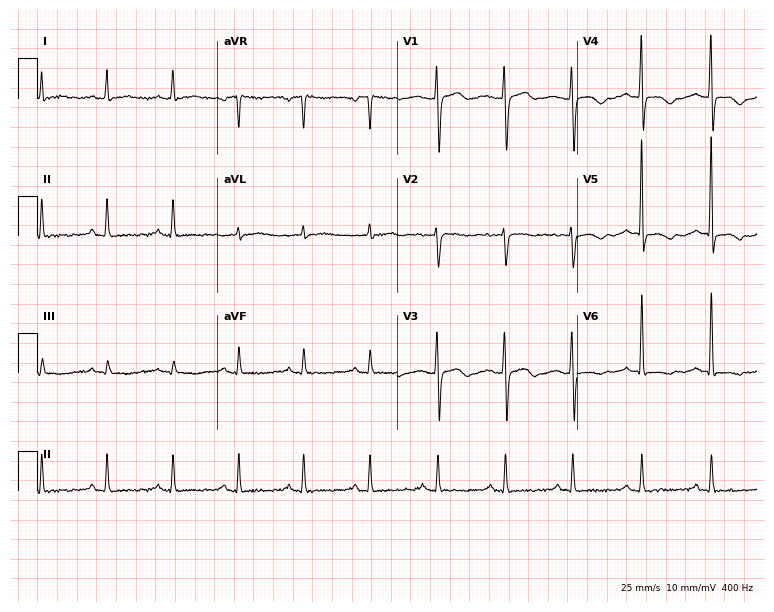
12-lead ECG from a woman, 55 years old. Screened for six findings — first-degree AV block, right bundle branch block (RBBB), left bundle branch block (LBBB), sinus bradycardia, atrial fibrillation (AF), sinus tachycardia — none is recorded. Only these six findings were labelled.